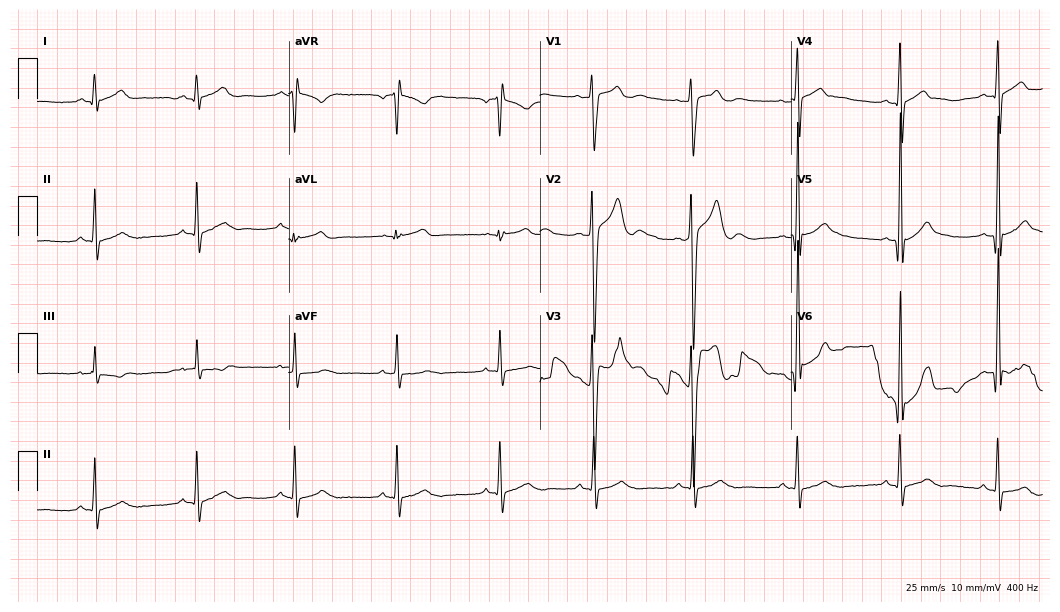
12-lead ECG (10.2-second recording at 400 Hz) from a man, 18 years old. Screened for six findings — first-degree AV block, right bundle branch block, left bundle branch block, sinus bradycardia, atrial fibrillation, sinus tachycardia — none is recorded. Other findings, if any, are not listed.